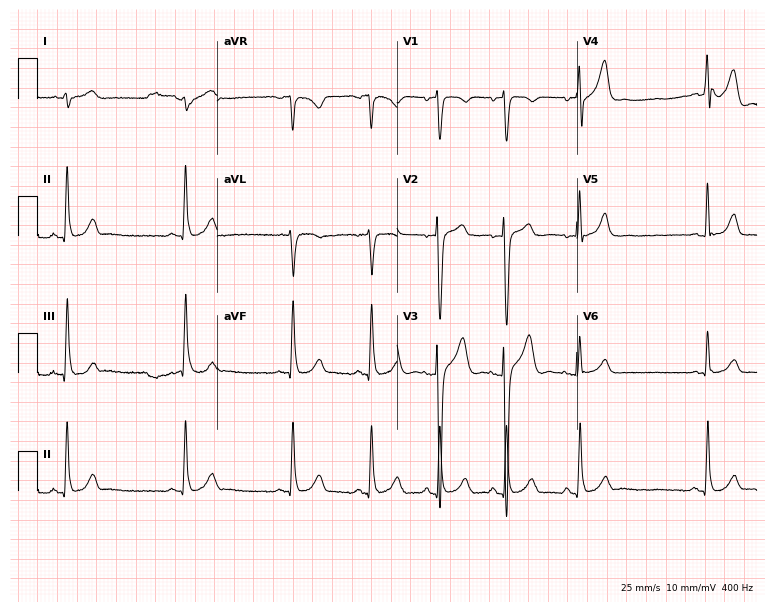
Resting 12-lead electrocardiogram (7.3-second recording at 400 Hz). Patient: a 29-year-old male. None of these six findings is recorded: first-degree AV block, right bundle branch block, left bundle branch block, sinus bradycardia, atrial fibrillation, sinus tachycardia. Findings outside these six are not listed.